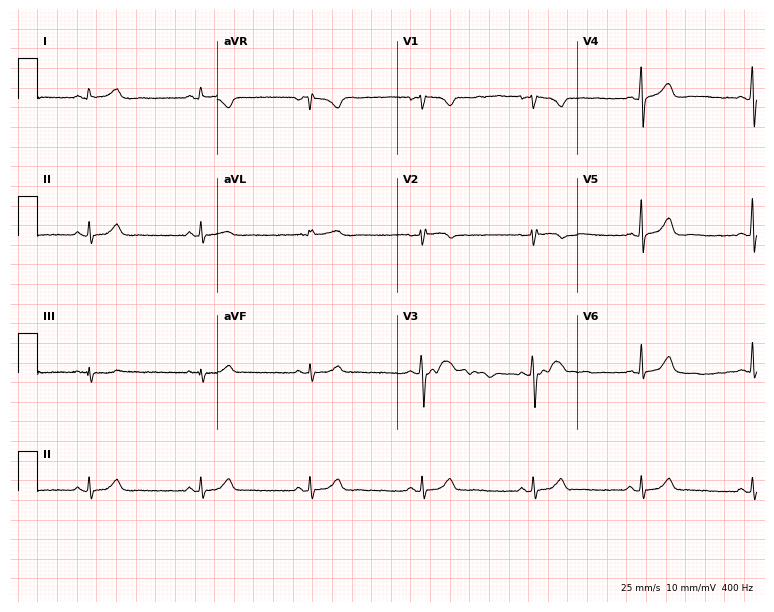
12-lead ECG from a 19-year-old woman. No first-degree AV block, right bundle branch block, left bundle branch block, sinus bradycardia, atrial fibrillation or sinus tachycardia recorded for this tracing.